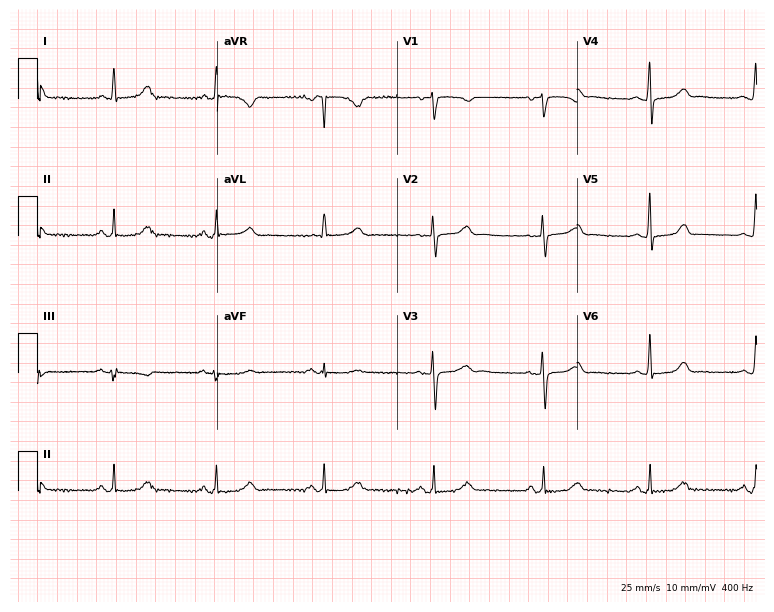
12-lead ECG from a female, 62 years old. Labelled as a normal ECG.